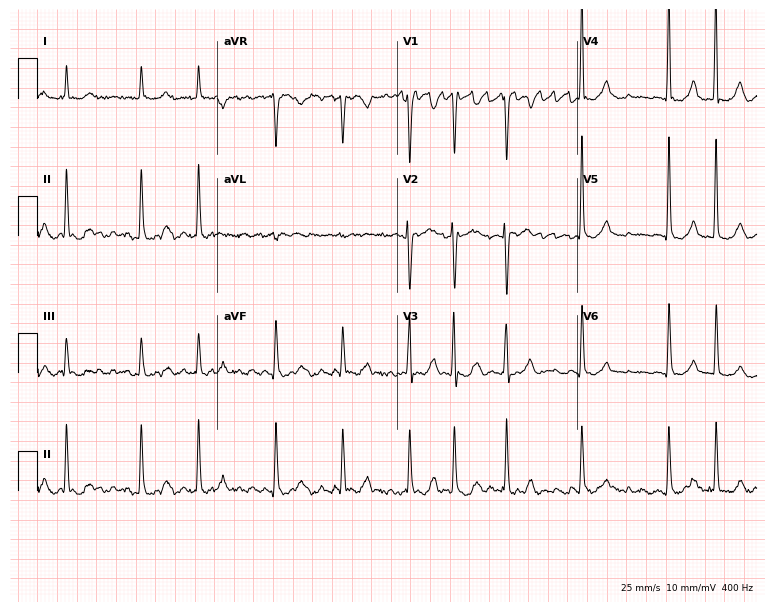
Electrocardiogram, an 85-year-old female patient. Interpretation includes atrial fibrillation.